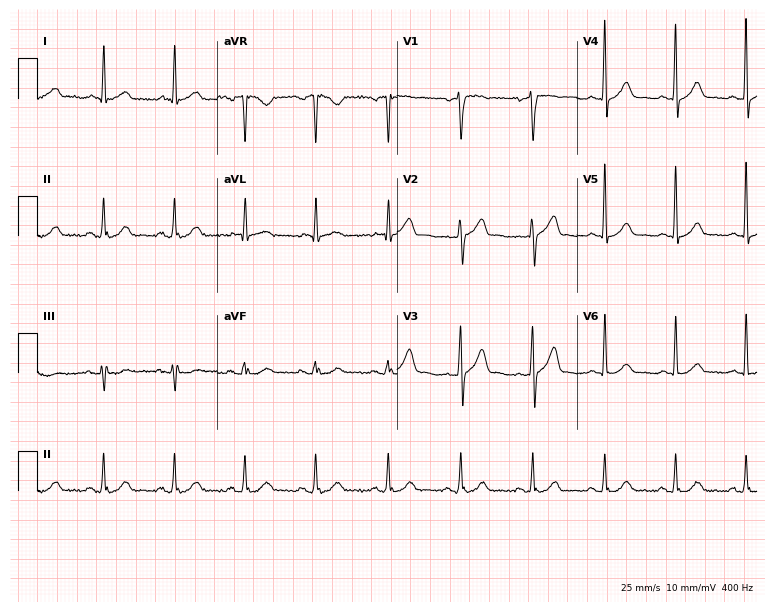
Electrocardiogram (7.3-second recording at 400 Hz), a man, 50 years old. Overall reading on record: normal ECG.